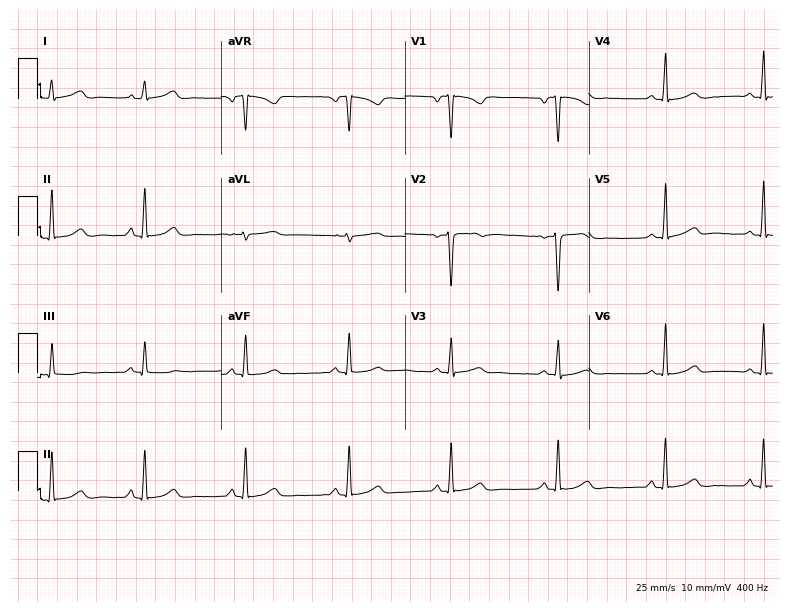
Resting 12-lead electrocardiogram. Patient: a 29-year-old female. None of these six findings is recorded: first-degree AV block, right bundle branch block, left bundle branch block, sinus bradycardia, atrial fibrillation, sinus tachycardia.